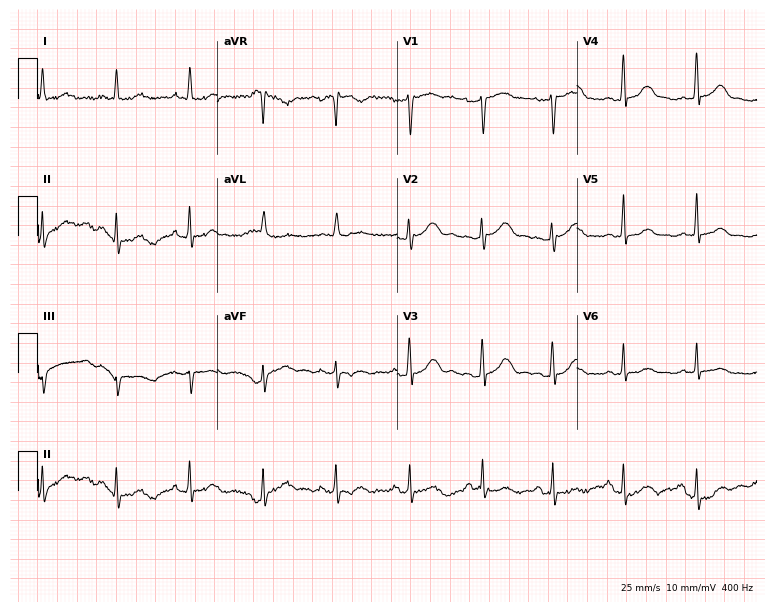
Electrocardiogram (7.3-second recording at 400 Hz), a 52-year-old woman. Of the six screened findings (first-degree AV block, right bundle branch block (RBBB), left bundle branch block (LBBB), sinus bradycardia, atrial fibrillation (AF), sinus tachycardia), none is recorded.